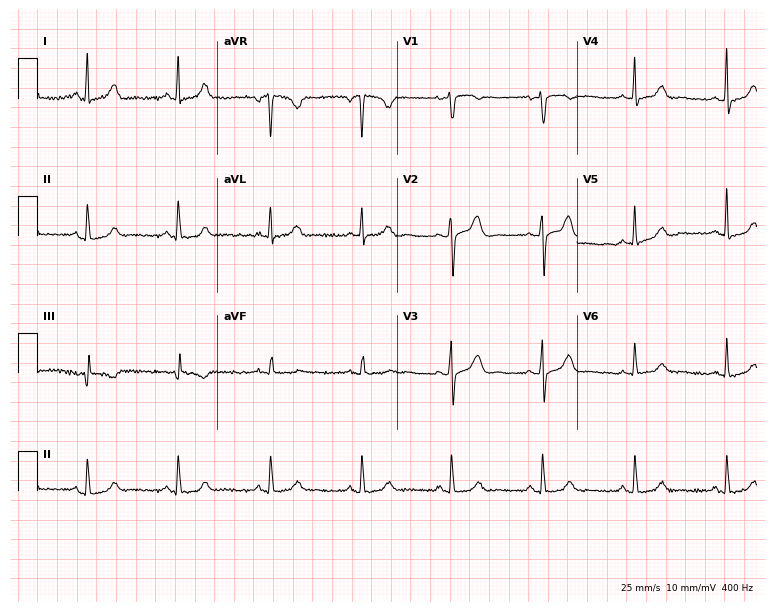
Standard 12-lead ECG recorded from a 47-year-old woman (7.3-second recording at 400 Hz). Read as a normal ECG.